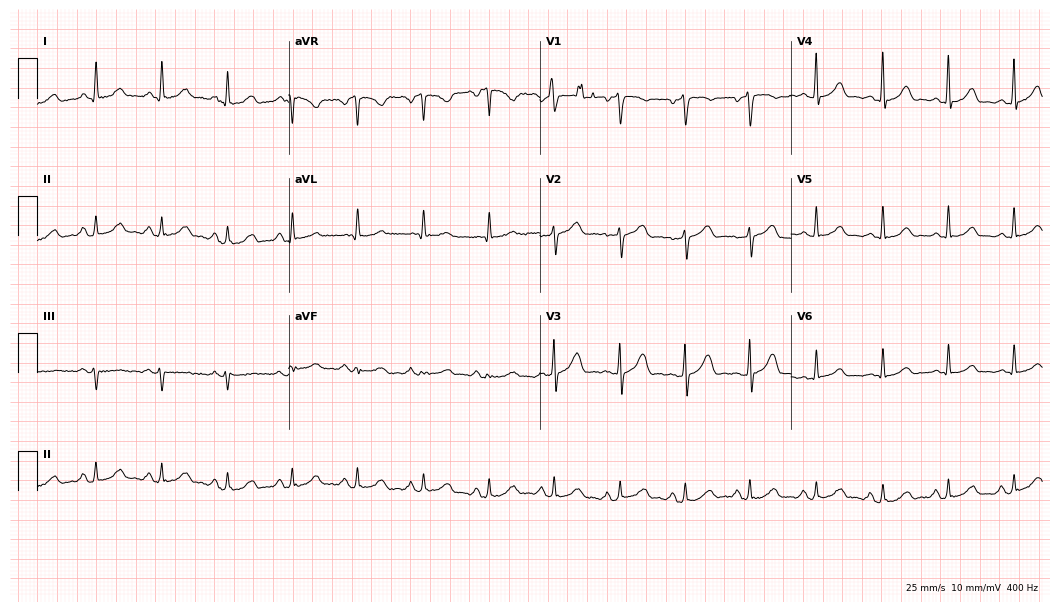
12-lead ECG from a woman, 57 years old. Screened for six findings — first-degree AV block, right bundle branch block (RBBB), left bundle branch block (LBBB), sinus bradycardia, atrial fibrillation (AF), sinus tachycardia — none is recorded.